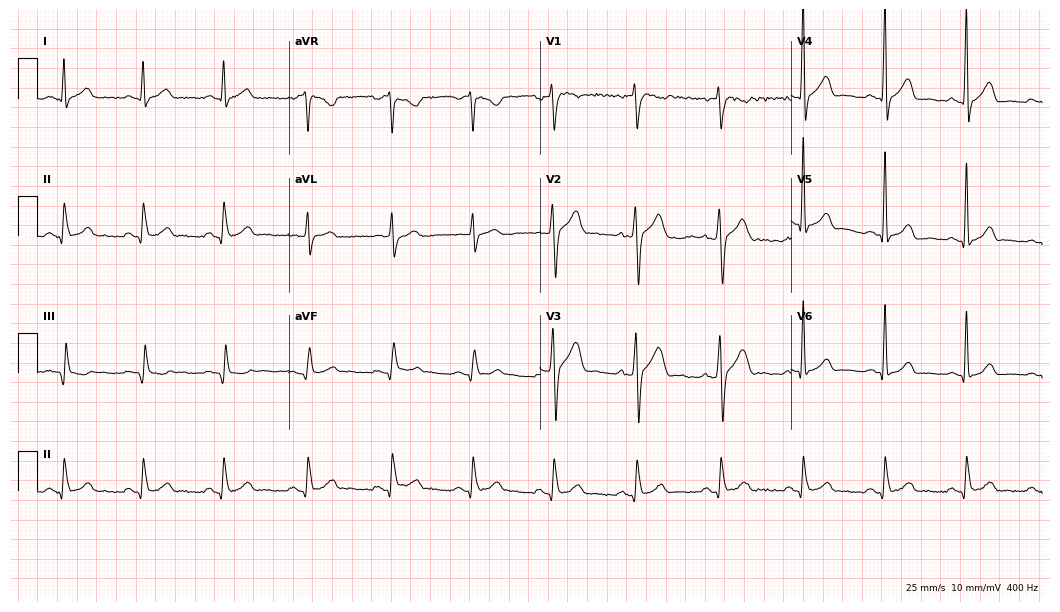
Standard 12-lead ECG recorded from a male patient, 41 years old (10.2-second recording at 400 Hz). None of these six findings is recorded: first-degree AV block, right bundle branch block, left bundle branch block, sinus bradycardia, atrial fibrillation, sinus tachycardia. Only these six findings were labelled.